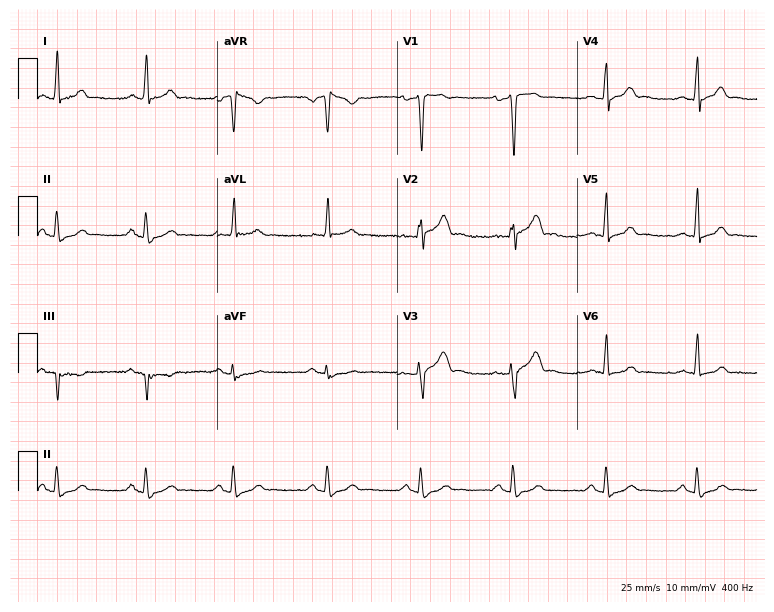
ECG (7.3-second recording at 400 Hz) — a 33-year-old man. Screened for six findings — first-degree AV block, right bundle branch block (RBBB), left bundle branch block (LBBB), sinus bradycardia, atrial fibrillation (AF), sinus tachycardia — none is recorded. Other findings, if any, are not listed.